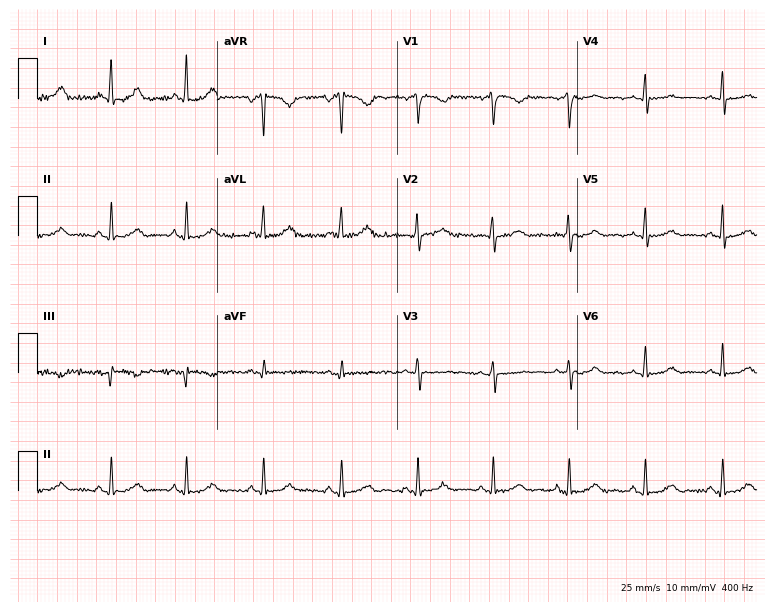
Resting 12-lead electrocardiogram. Patient: a 55-year-old female. Read as a normal ECG.